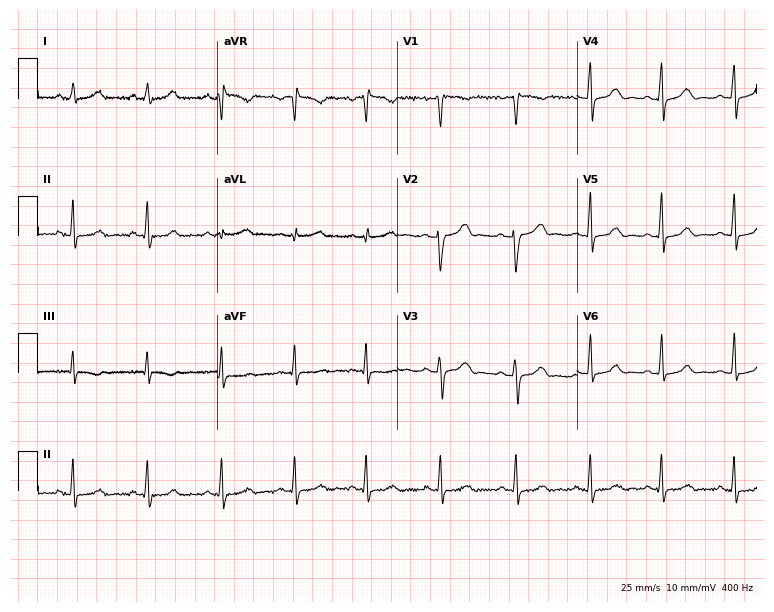
12-lead ECG from a male patient, 28 years old. Labelled as a normal ECG.